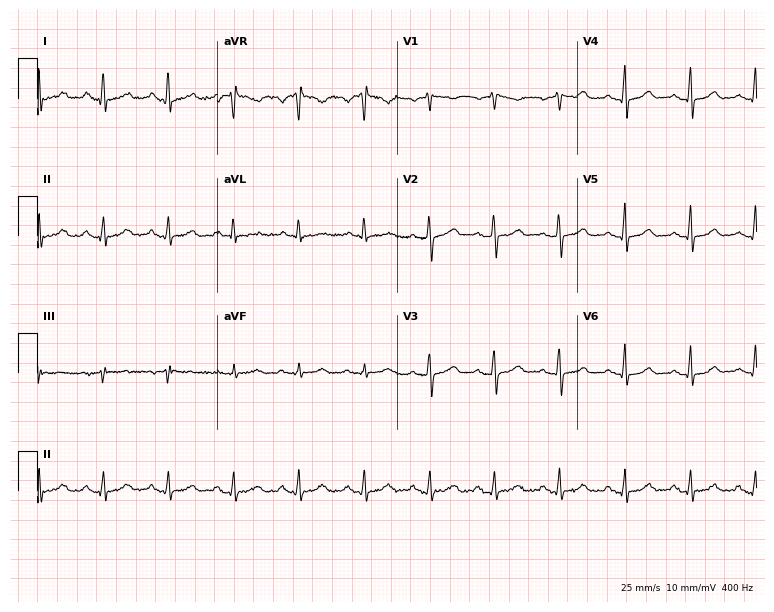
12-lead ECG from a 53-year-old female patient. Recorded interpretation: within normal limits.